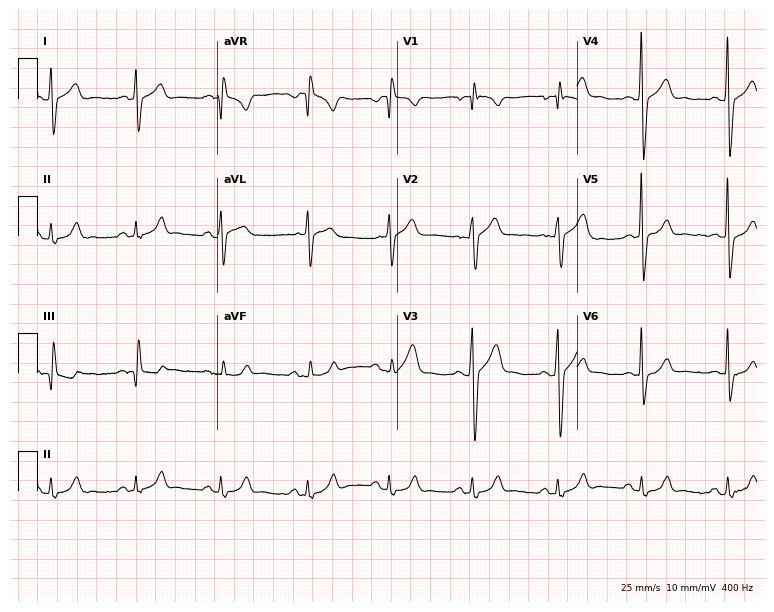
Resting 12-lead electrocardiogram. Patient: a 32-year-old man. None of these six findings is recorded: first-degree AV block, right bundle branch block, left bundle branch block, sinus bradycardia, atrial fibrillation, sinus tachycardia. Only these six findings were labelled.